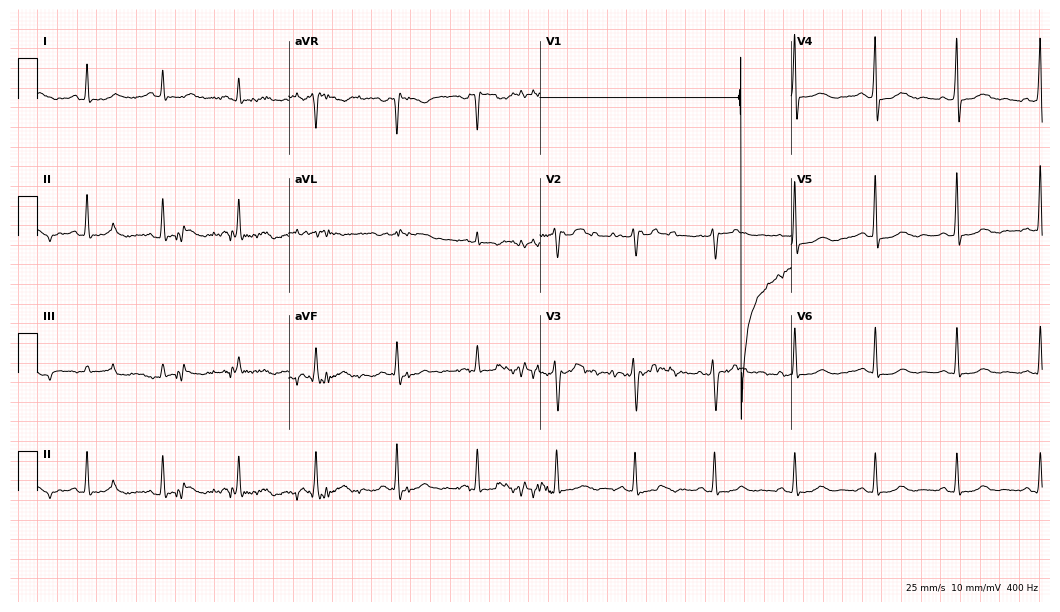
Electrocardiogram (10.2-second recording at 400 Hz), a female patient, 64 years old. Of the six screened findings (first-degree AV block, right bundle branch block, left bundle branch block, sinus bradycardia, atrial fibrillation, sinus tachycardia), none is recorded. Other findings, if any, are not listed.